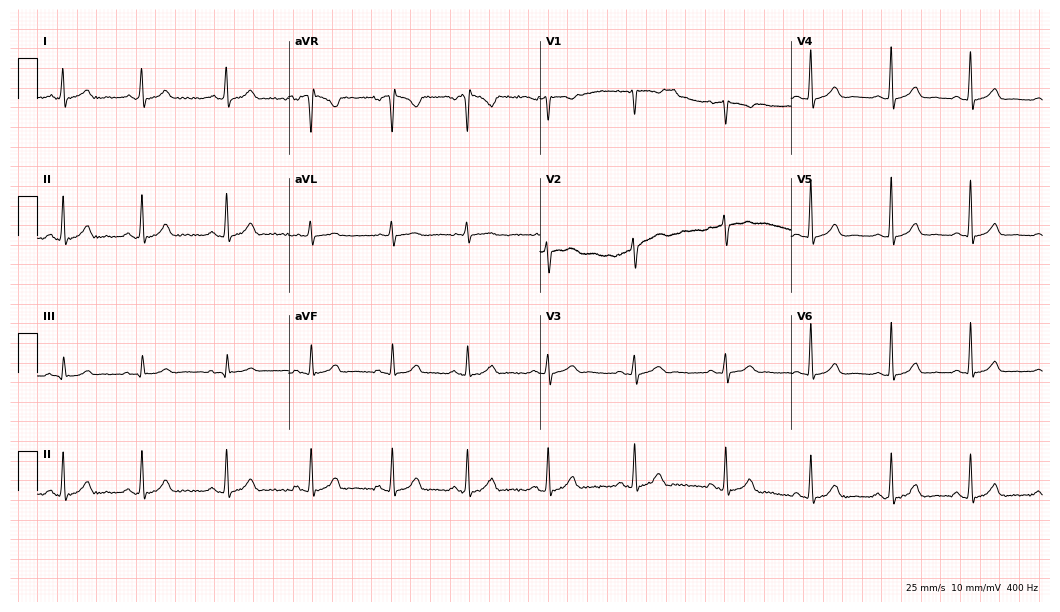
Resting 12-lead electrocardiogram (10.2-second recording at 400 Hz). Patient: a female, 27 years old. Read as a normal ECG.